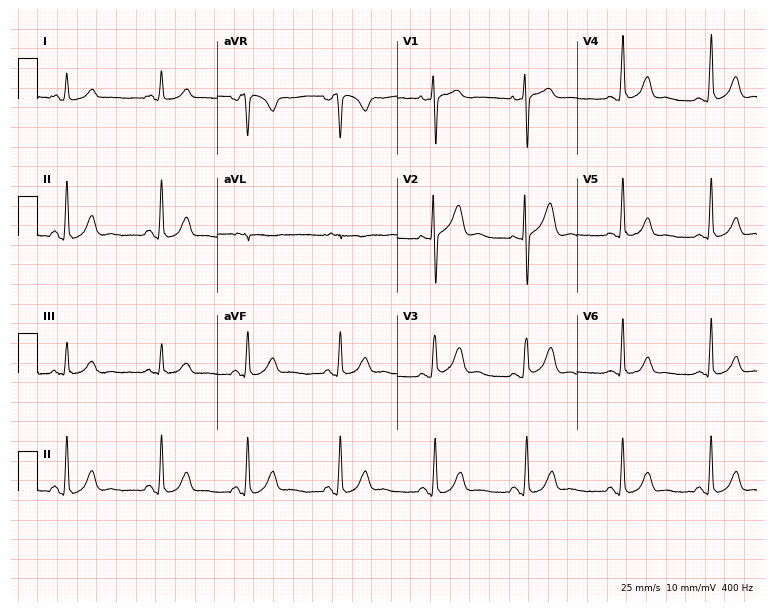
12-lead ECG from a female patient, 20 years old. Recorded interpretation: within normal limits.